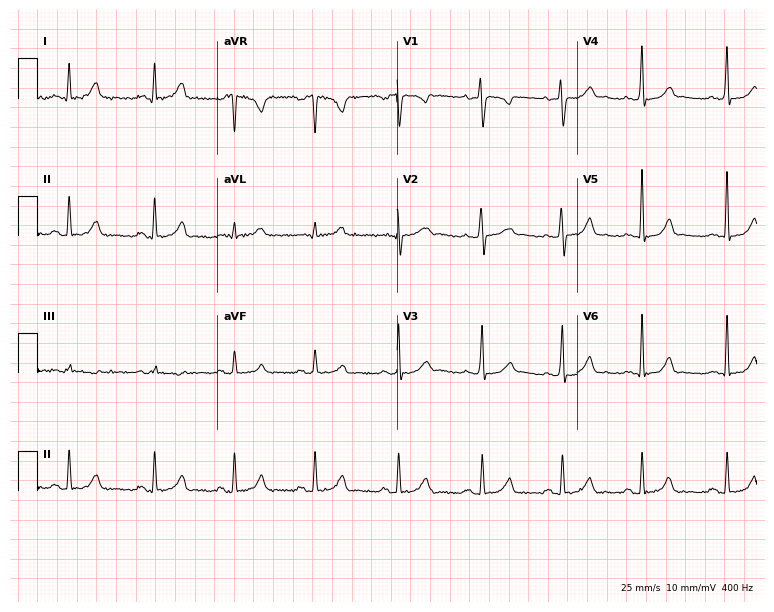
12-lead ECG from a 31-year-old female patient. No first-degree AV block, right bundle branch block, left bundle branch block, sinus bradycardia, atrial fibrillation or sinus tachycardia recorded for this tracing. Other findings, if any, are not listed.